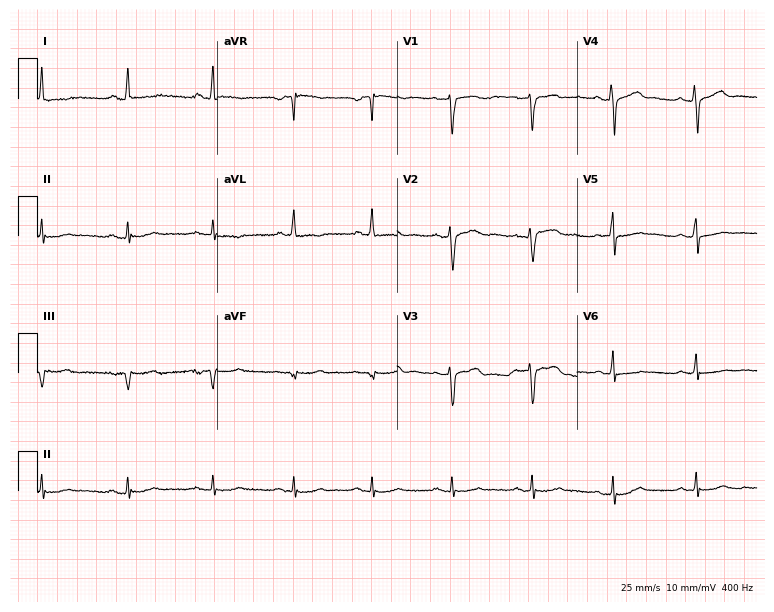
Standard 12-lead ECG recorded from a 47-year-old male (7.3-second recording at 400 Hz). None of these six findings is recorded: first-degree AV block, right bundle branch block, left bundle branch block, sinus bradycardia, atrial fibrillation, sinus tachycardia. Findings outside these six are not listed.